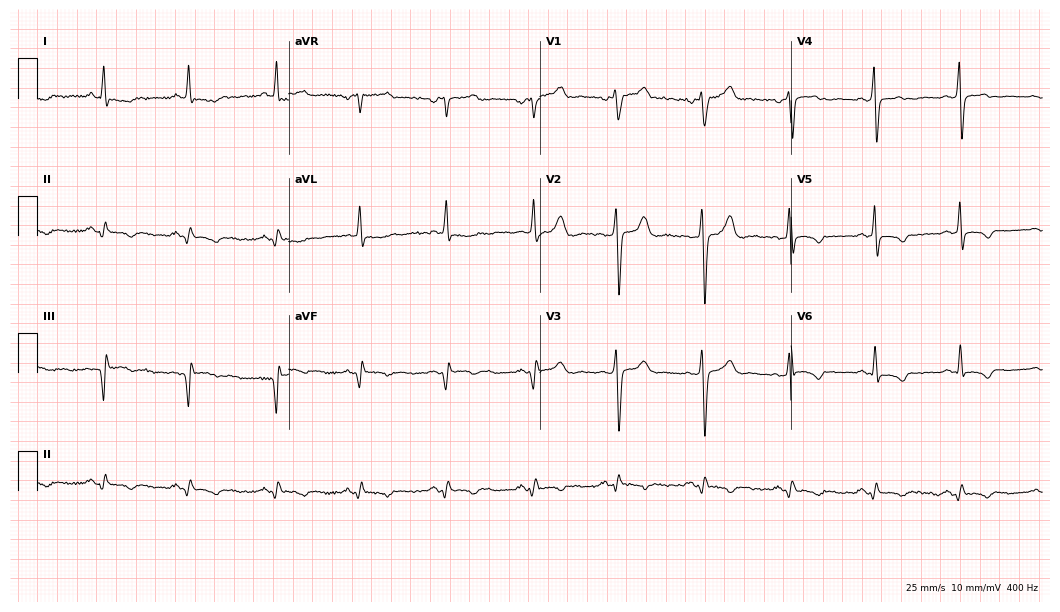
Resting 12-lead electrocardiogram (10.2-second recording at 400 Hz). Patient: a male, 51 years old. None of these six findings is recorded: first-degree AV block, right bundle branch block, left bundle branch block, sinus bradycardia, atrial fibrillation, sinus tachycardia. Findings outside these six are not listed.